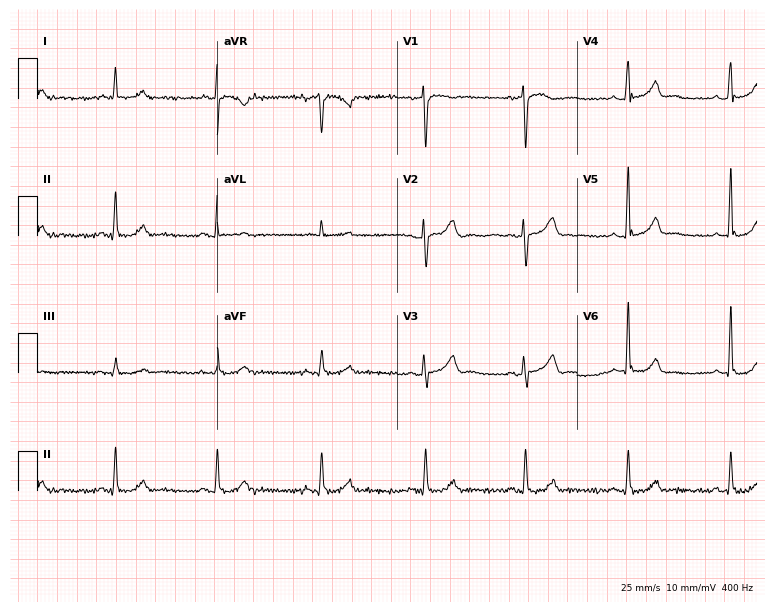
12-lead ECG from a man, 50 years old. No first-degree AV block, right bundle branch block, left bundle branch block, sinus bradycardia, atrial fibrillation or sinus tachycardia recorded for this tracing. Findings outside these six are not listed.